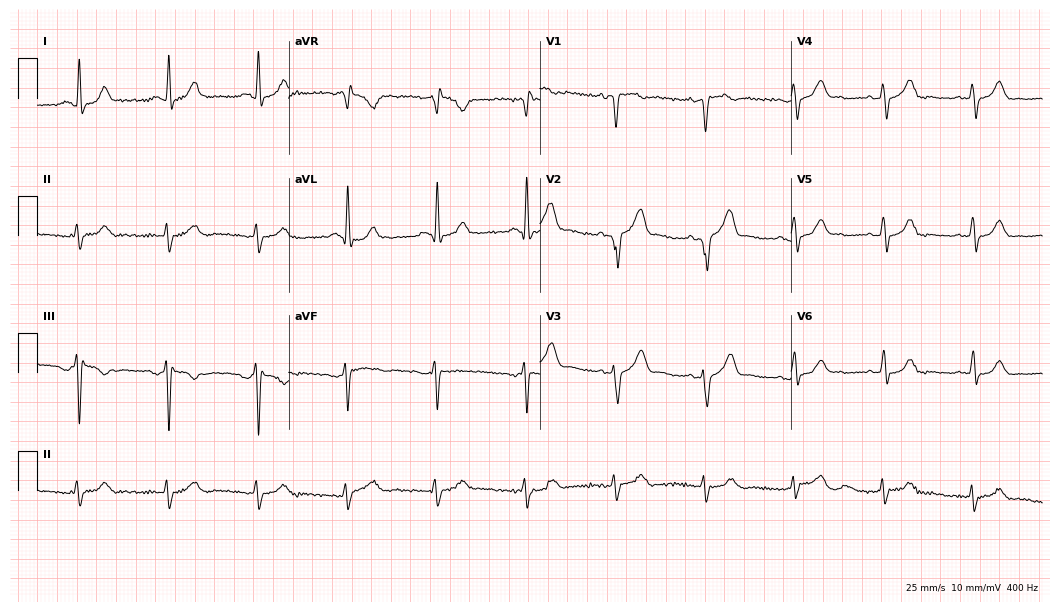
12-lead ECG from a male, 61 years old. No first-degree AV block, right bundle branch block (RBBB), left bundle branch block (LBBB), sinus bradycardia, atrial fibrillation (AF) or sinus tachycardia recorded for this tracing.